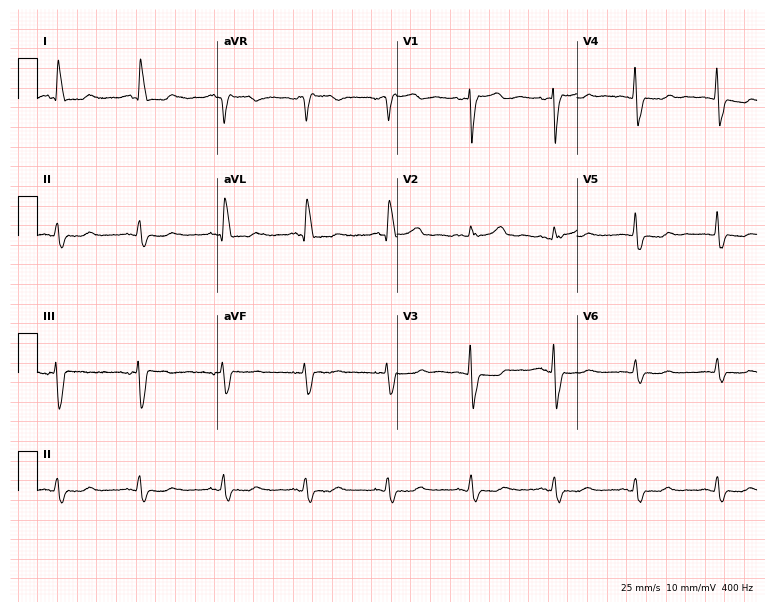
12-lead ECG from an 81-year-old female patient (7.3-second recording at 400 Hz). No first-degree AV block, right bundle branch block, left bundle branch block, sinus bradycardia, atrial fibrillation or sinus tachycardia recorded for this tracing.